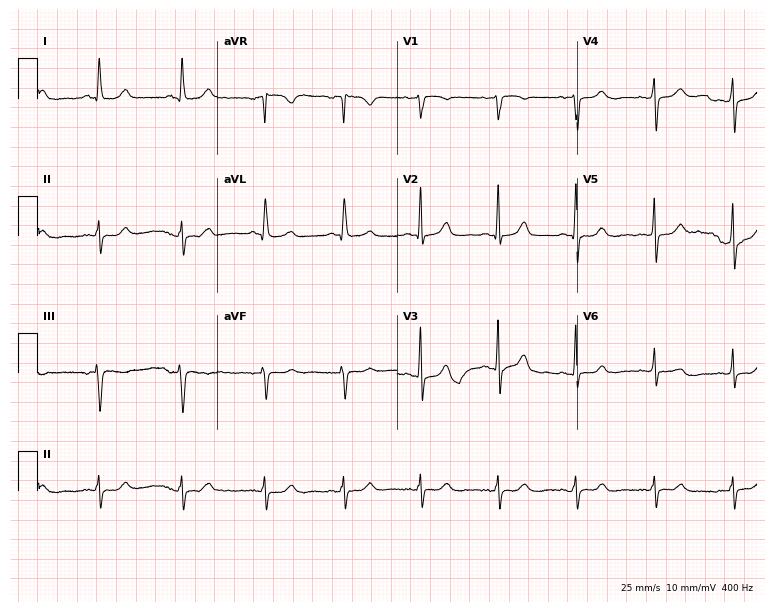
ECG (7.3-second recording at 400 Hz) — a 69-year-old female. Screened for six findings — first-degree AV block, right bundle branch block, left bundle branch block, sinus bradycardia, atrial fibrillation, sinus tachycardia — none is recorded.